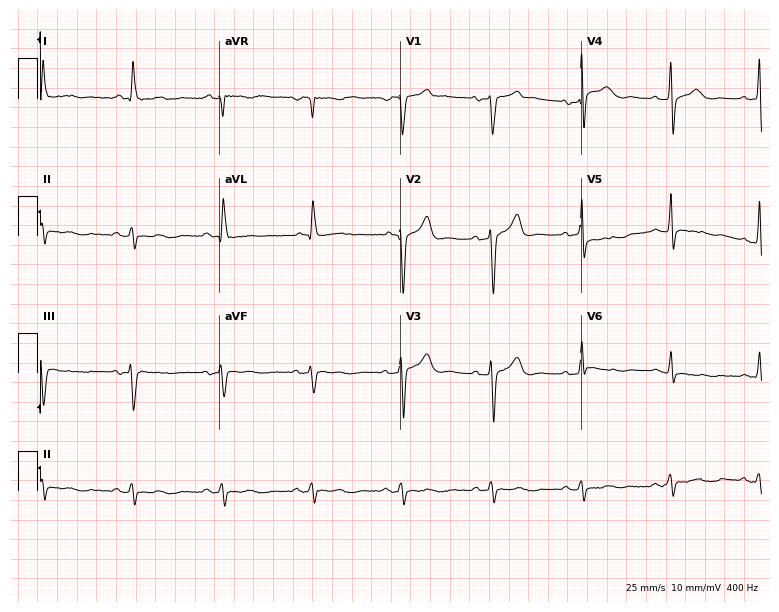
ECG (7.4-second recording at 400 Hz) — a 73-year-old male. Screened for six findings — first-degree AV block, right bundle branch block, left bundle branch block, sinus bradycardia, atrial fibrillation, sinus tachycardia — none is recorded.